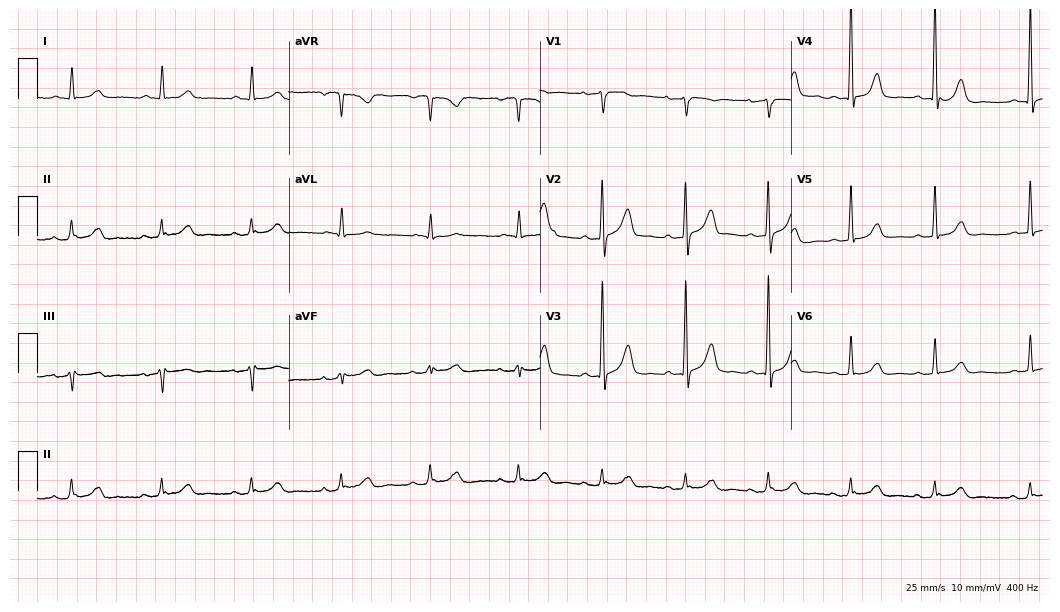
12-lead ECG from an 87-year-old male. Screened for six findings — first-degree AV block, right bundle branch block, left bundle branch block, sinus bradycardia, atrial fibrillation, sinus tachycardia — none is recorded. Other findings, if any, are not listed.